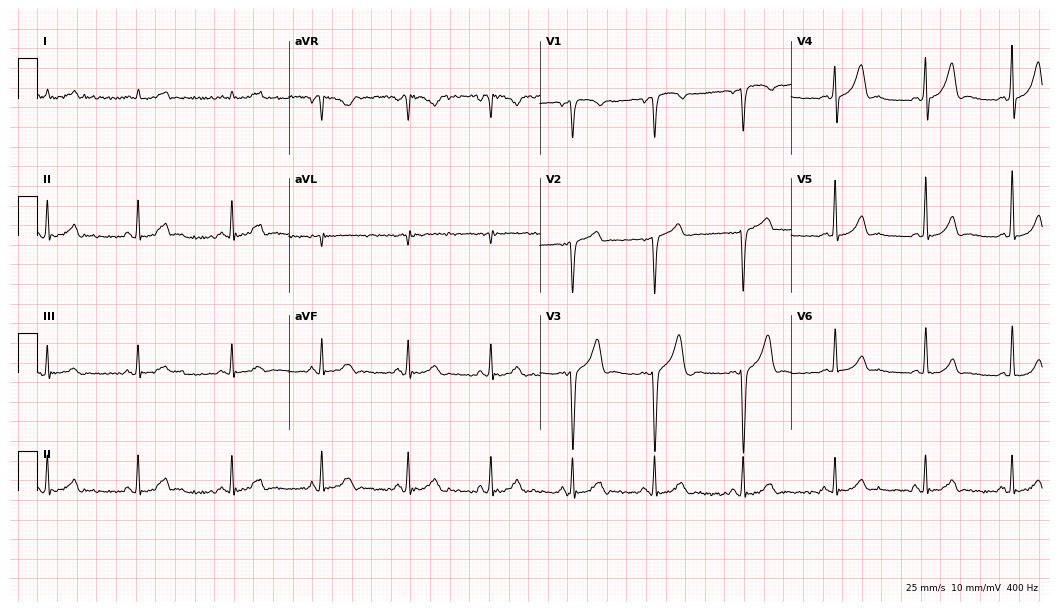
Resting 12-lead electrocardiogram (10.2-second recording at 400 Hz). Patient: a 50-year-old male. Read as a normal ECG.